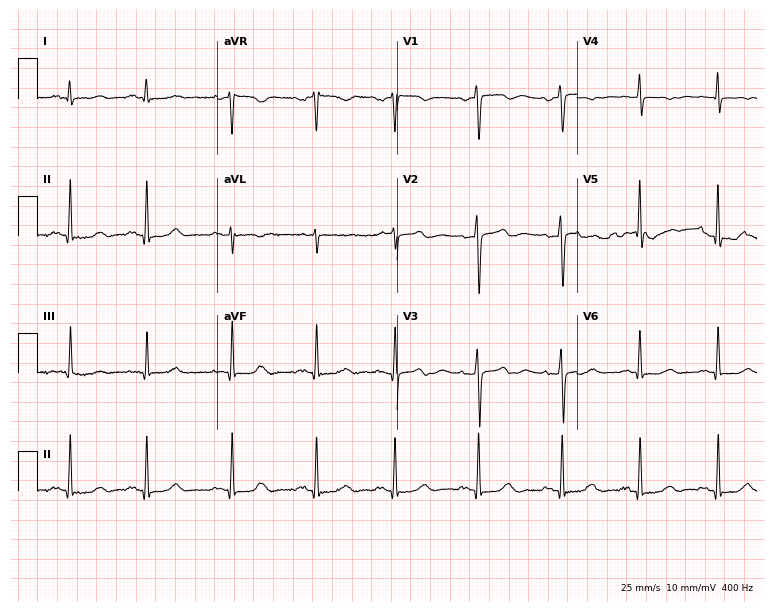
Electrocardiogram (7.3-second recording at 400 Hz), a 73-year-old woman. Of the six screened findings (first-degree AV block, right bundle branch block (RBBB), left bundle branch block (LBBB), sinus bradycardia, atrial fibrillation (AF), sinus tachycardia), none is recorded.